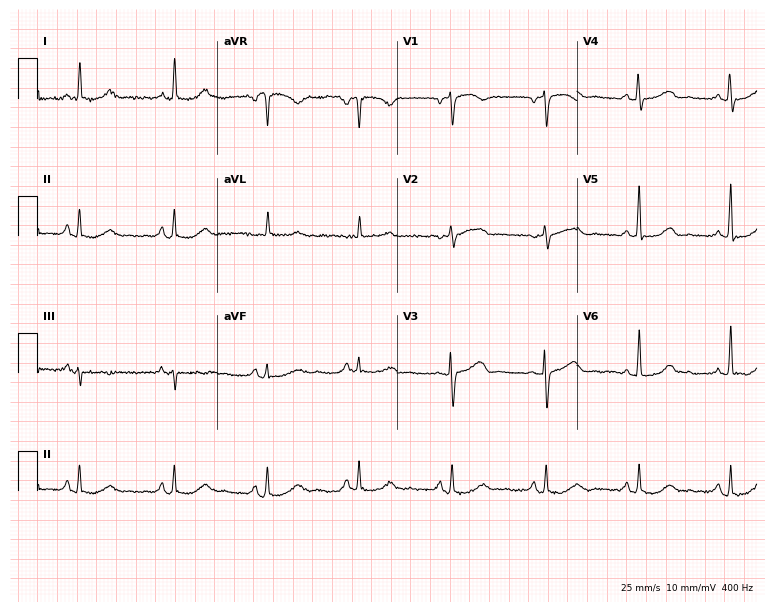
12-lead ECG (7.3-second recording at 400 Hz) from a 75-year-old female. Labelled as a normal ECG.